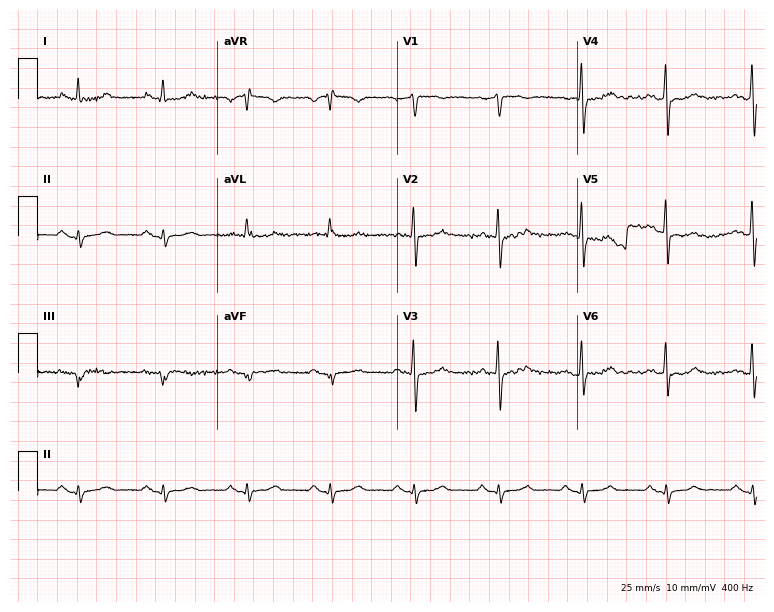
Standard 12-lead ECG recorded from a female patient, 57 years old (7.3-second recording at 400 Hz). None of these six findings is recorded: first-degree AV block, right bundle branch block (RBBB), left bundle branch block (LBBB), sinus bradycardia, atrial fibrillation (AF), sinus tachycardia. Only these six findings were labelled.